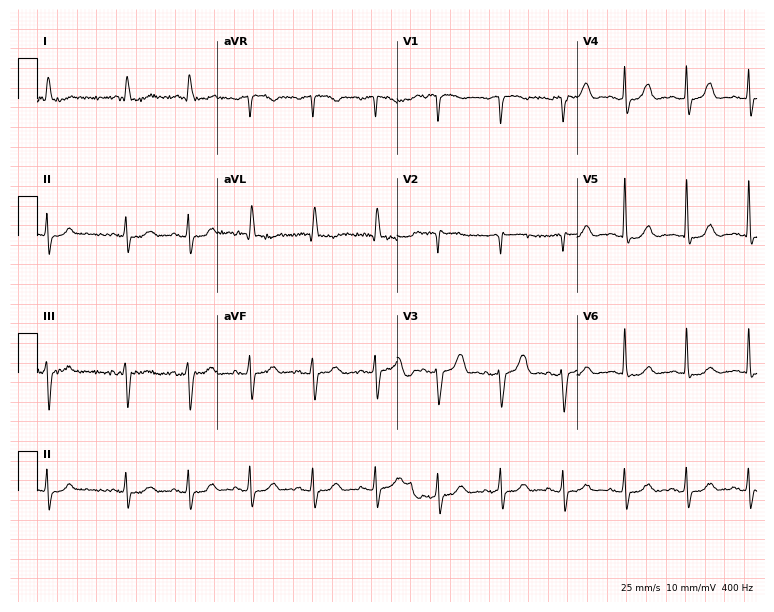
Standard 12-lead ECG recorded from an 85-year-old woman. None of these six findings is recorded: first-degree AV block, right bundle branch block (RBBB), left bundle branch block (LBBB), sinus bradycardia, atrial fibrillation (AF), sinus tachycardia. Other findings, if any, are not listed.